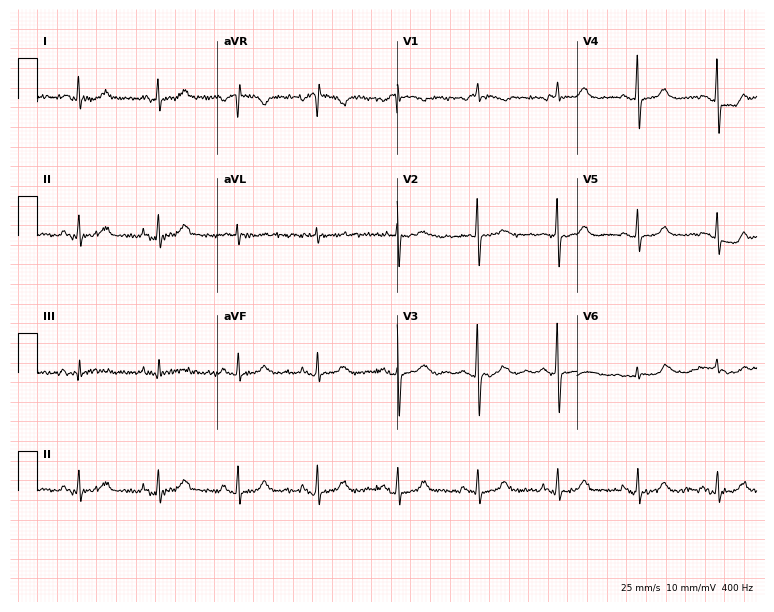
Resting 12-lead electrocardiogram. Patient: a female, 85 years old. None of these six findings is recorded: first-degree AV block, right bundle branch block, left bundle branch block, sinus bradycardia, atrial fibrillation, sinus tachycardia. Findings outside these six are not listed.